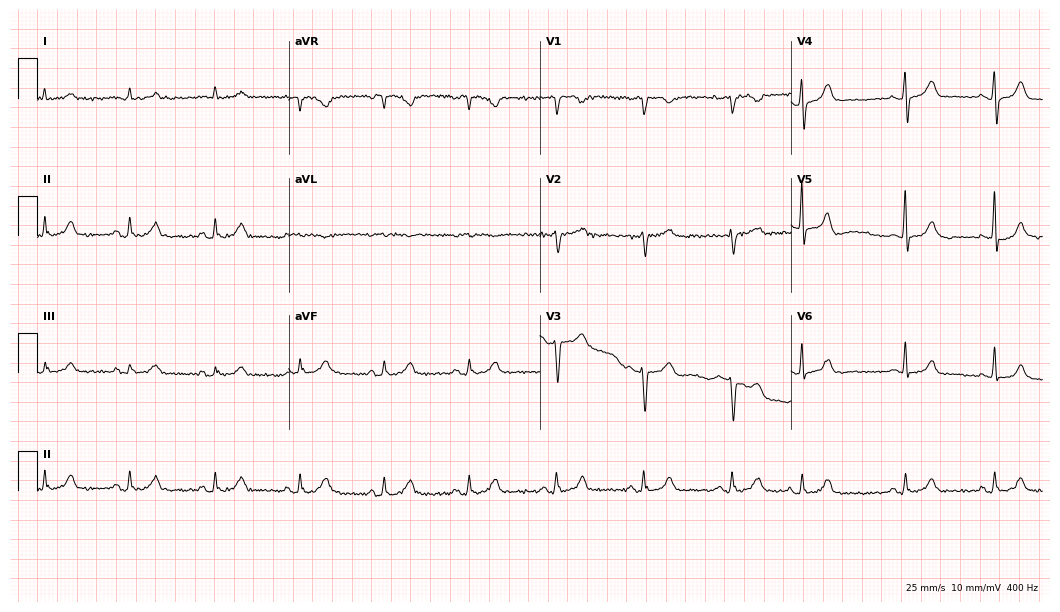
Standard 12-lead ECG recorded from a woman, 85 years old. None of these six findings is recorded: first-degree AV block, right bundle branch block (RBBB), left bundle branch block (LBBB), sinus bradycardia, atrial fibrillation (AF), sinus tachycardia. Only these six findings were labelled.